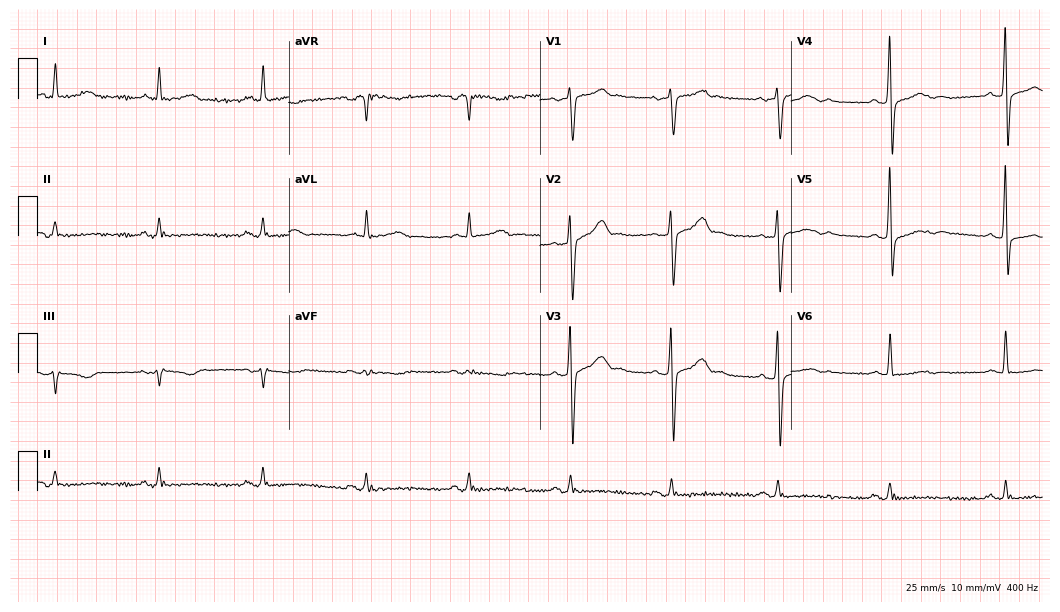
Electrocardiogram (10.2-second recording at 400 Hz), a 68-year-old male. Of the six screened findings (first-degree AV block, right bundle branch block, left bundle branch block, sinus bradycardia, atrial fibrillation, sinus tachycardia), none is recorded.